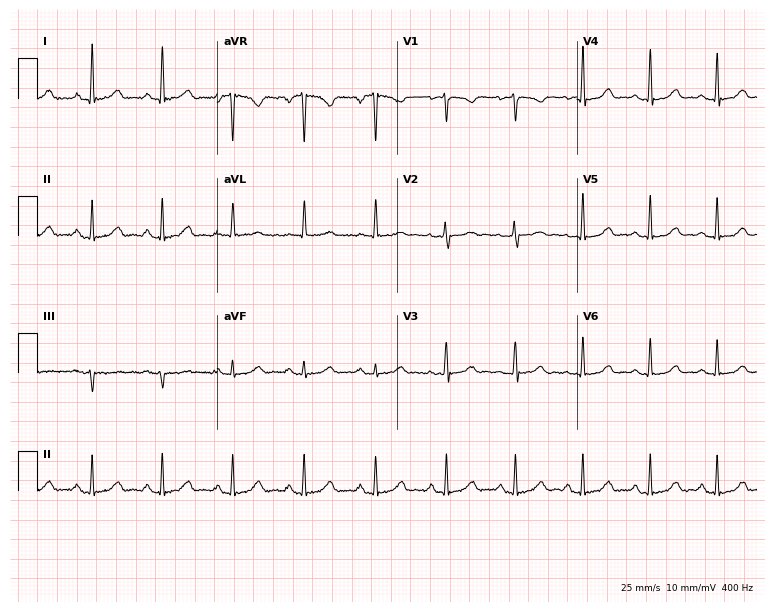
12-lead ECG from a 56-year-old female patient. Screened for six findings — first-degree AV block, right bundle branch block, left bundle branch block, sinus bradycardia, atrial fibrillation, sinus tachycardia — none is recorded.